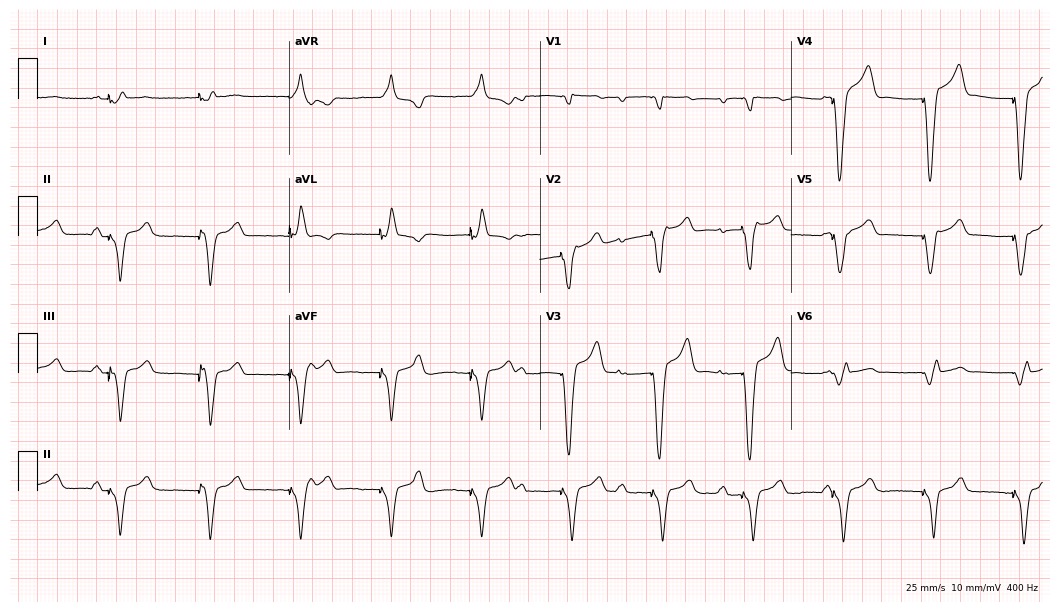
12-lead ECG (10.2-second recording at 400 Hz) from a male, 55 years old. Screened for six findings — first-degree AV block, right bundle branch block (RBBB), left bundle branch block (LBBB), sinus bradycardia, atrial fibrillation (AF), sinus tachycardia — none is recorded.